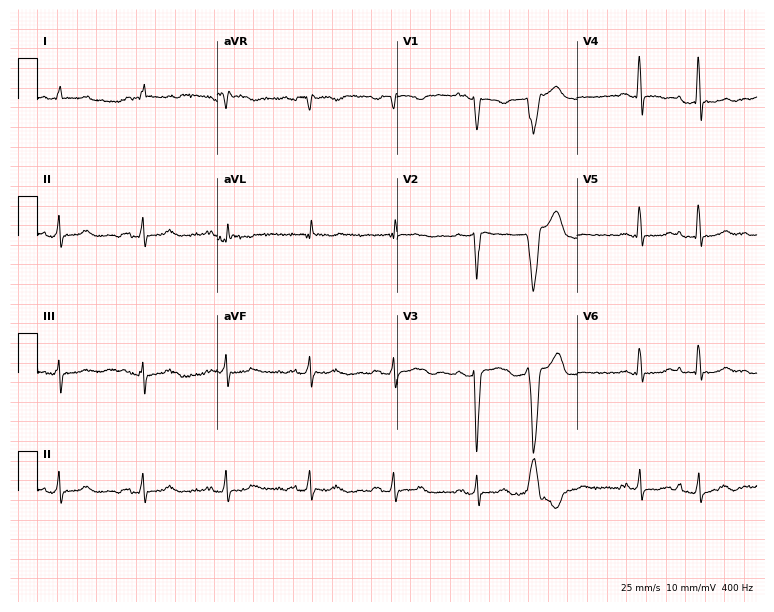
Resting 12-lead electrocardiogram. Patient: a 33-year-old woman. None of these six findings is recorded: first-degree AV block, right bundle branch block, left bundle branch block, sinus bradycardia, atrial fibrillation, sinus tachycardia.